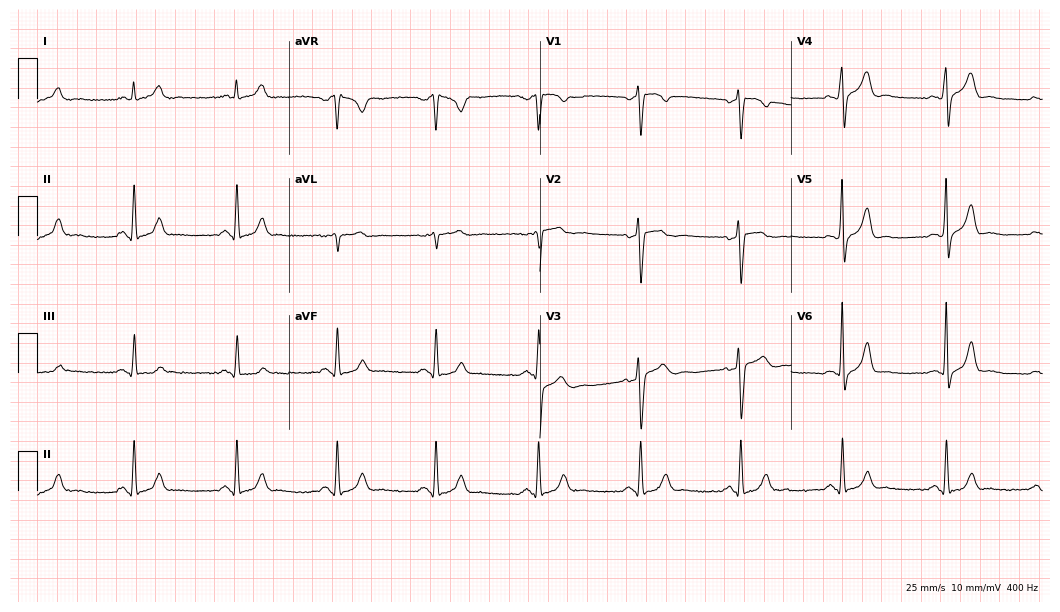
12-lead ECG from a 52-year-old male. Recorded interpretation: within normal limits.